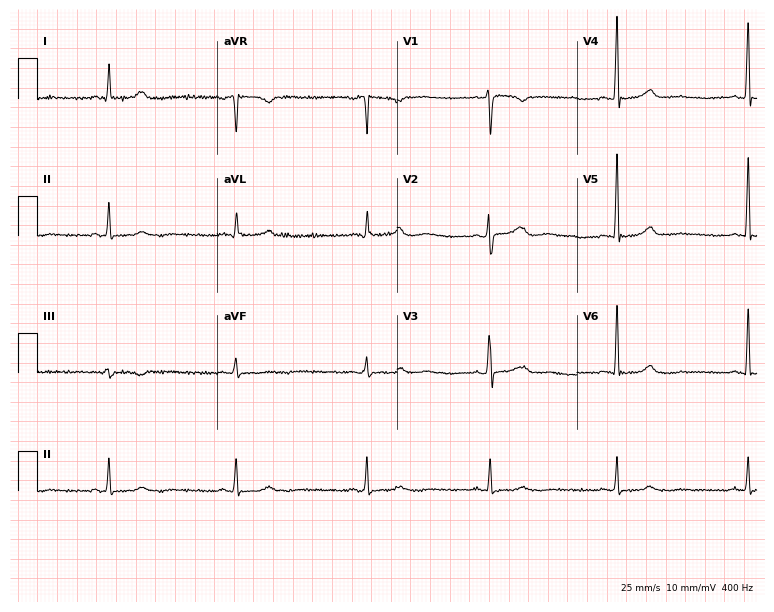
12-lead ECG from a woman, 54 years old (7.3-second recording at 400 Hz). No first-degree AV block, right bundle branch block, left bundle branch block, sinus bradycardia, atrial fibrillation or sinus tachycardia recorded for this tracing.